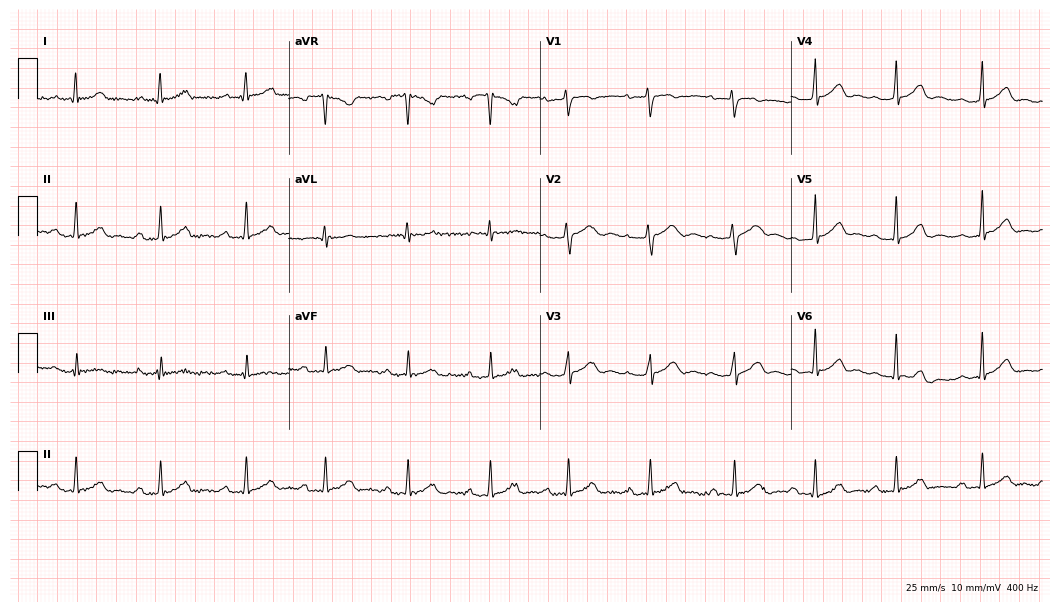
12-lead ECG from a female patient, 31 years old (10.2-second recording at 400 Hz). Shows first-degree AV block.